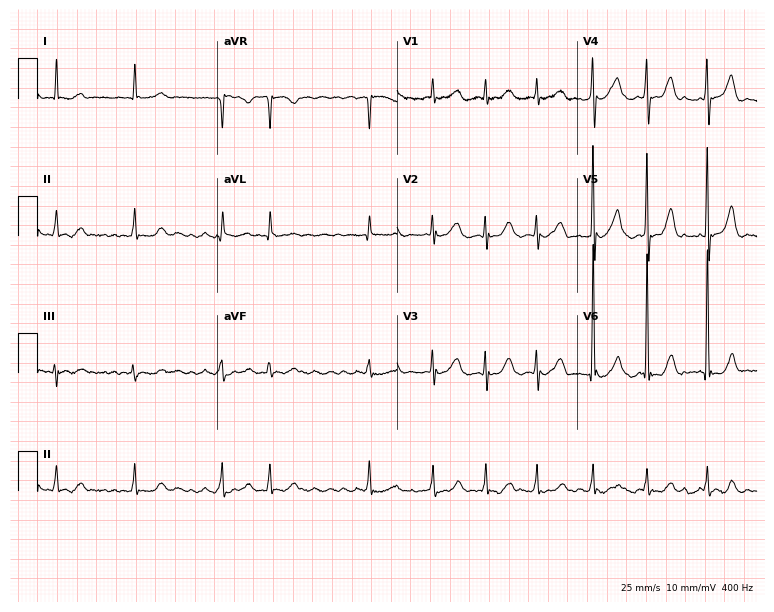
12-lead ECG (7.3-second recording at 400 Hz) from a 70-year-old male. Findings include atrial fibrillation.